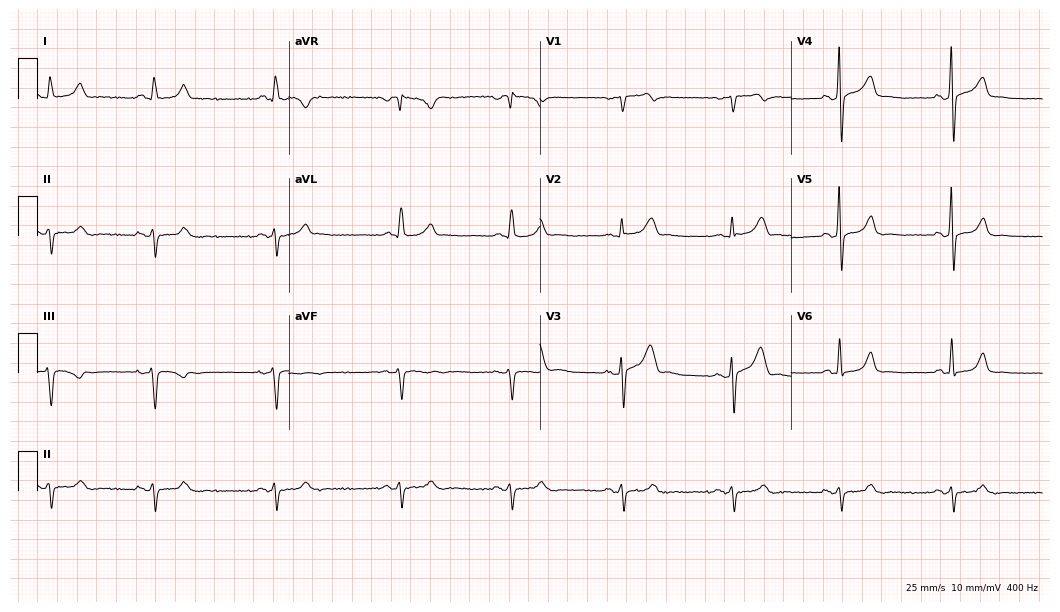
12-lead ECG (10.2-second recording at 400 Hz) from a male, 47 years old. Screened for six findings — first-degree AV block, right bundle branch block, left bundle branch block, sinus bradycardia, atrial fibrillation, sinus tachycardia — none is recorded. Findings outside these six are not listed.